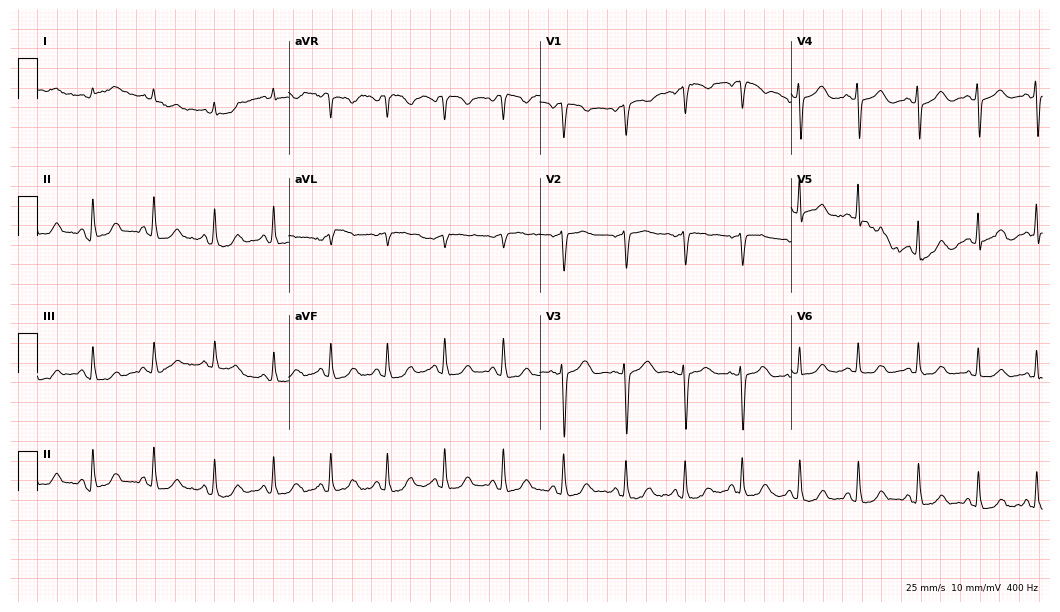
Standard 12-lead ECG recorded from a 53-year-old woman (10.2-second recording at 400 Hz). None of these six findings is recorded: first-degree AV block, right bundle branch block, left bundle branch block, sinus bradycardia, atrial fibrillation, sinus tachycardia.